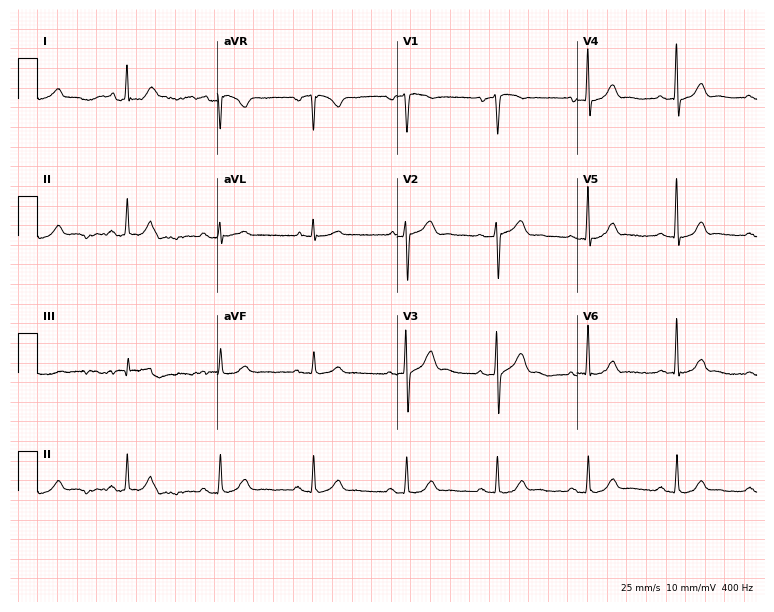
12-lead ECG from a 64-year-old male. Labelled as a normal ECG.